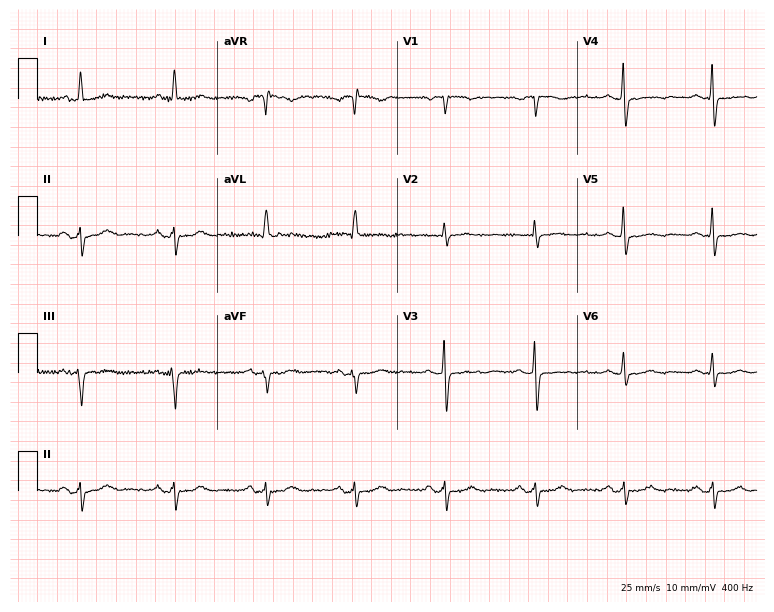
Electrocardiogram (7.3-second recording at 400 Hz), a woman, 72 years old. Of the six screened findings (first-degree AV block, right bundle branch block, left bundle branch block, sinus bradycardia, atrial fibrillation, sinus tachycardia), none is recorded. Findings outside these six are not listed.